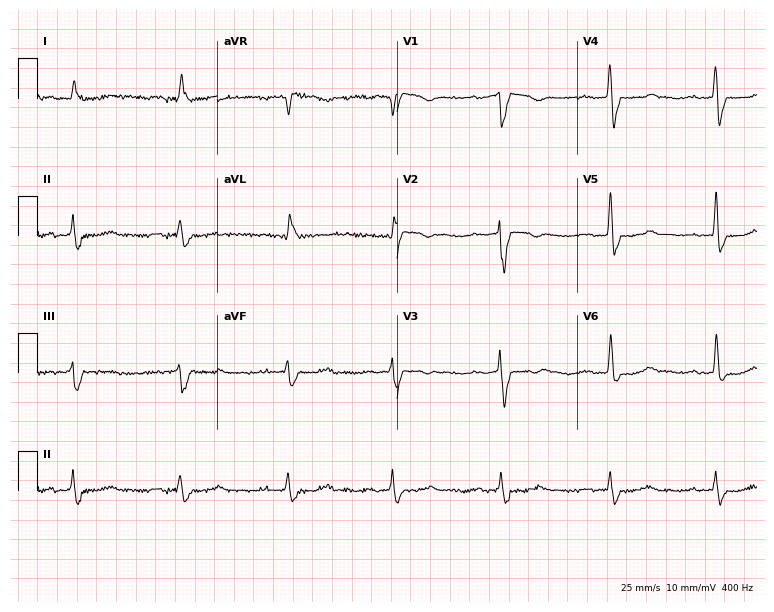
12-lead ECG from a 79-year-old female patient (7.3-second recording at 400 Hz). No first-degree AV block, right bundle branch block (RBBB), left bundle branch block (LBBB), sinus bradycardia, atrial fibrillation (AF) or sinus tachycardia recorded for this tracing.